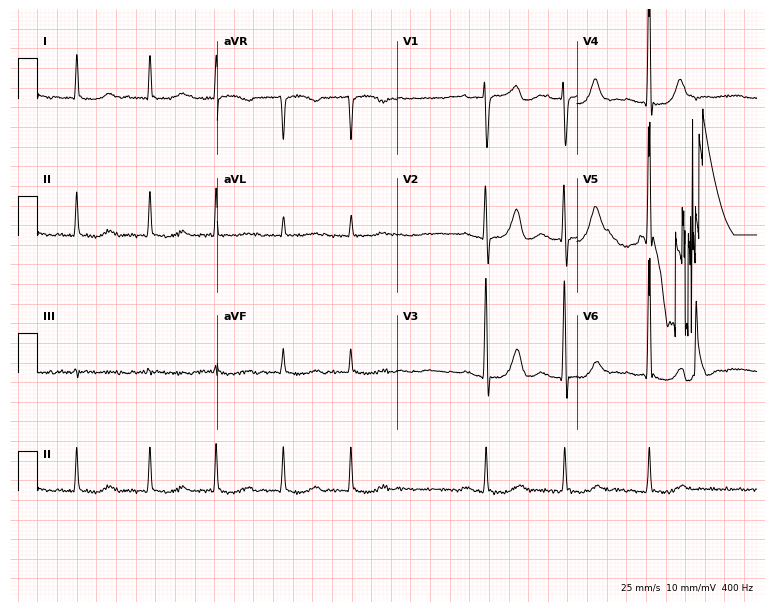
Standard 12-lead ECG recorded from an 84-year-old man (7.3-second recording at 400 Hz). None of these six findings is recorded: first-degree AV block, right bundle branch block (RBBB), left bundle branch block (LBBB), sinus bradycardia, atrial fibrillation (AF), sinus tachycardia.